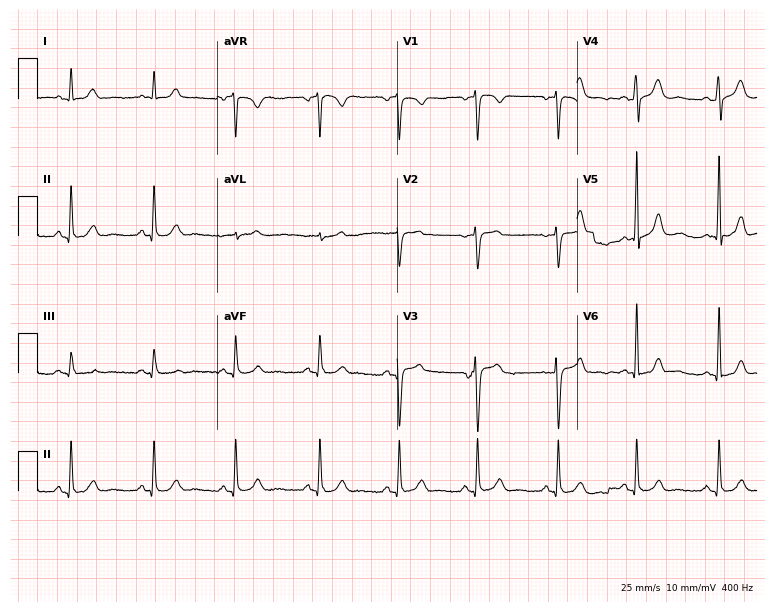
12-lead ECG from a 39-year-old female patient. Labelled as a normal ECG.